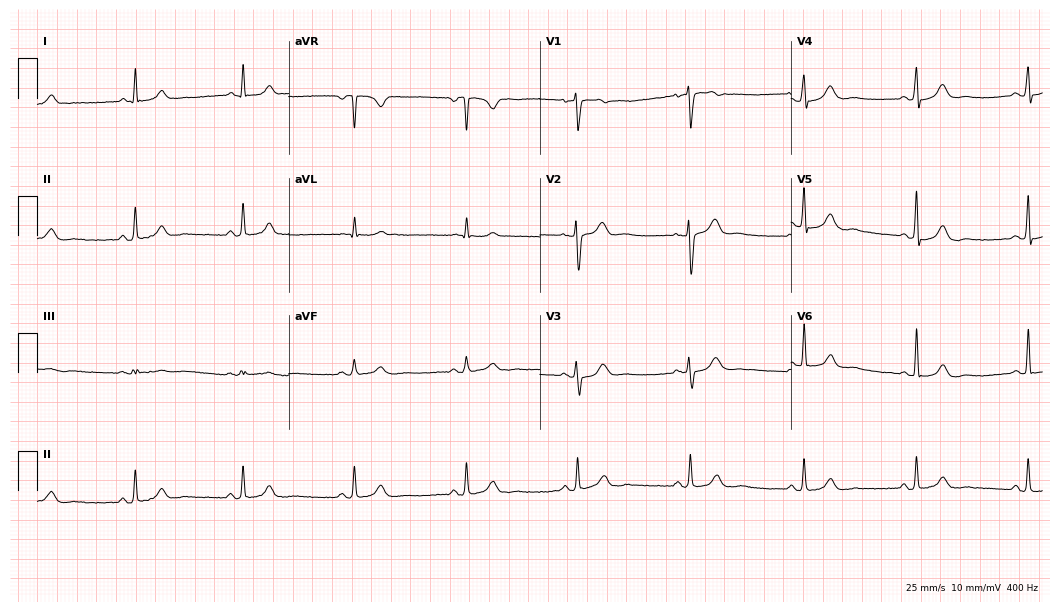
ECG — a woman, 65 years old. Labelled as a normal ECG.